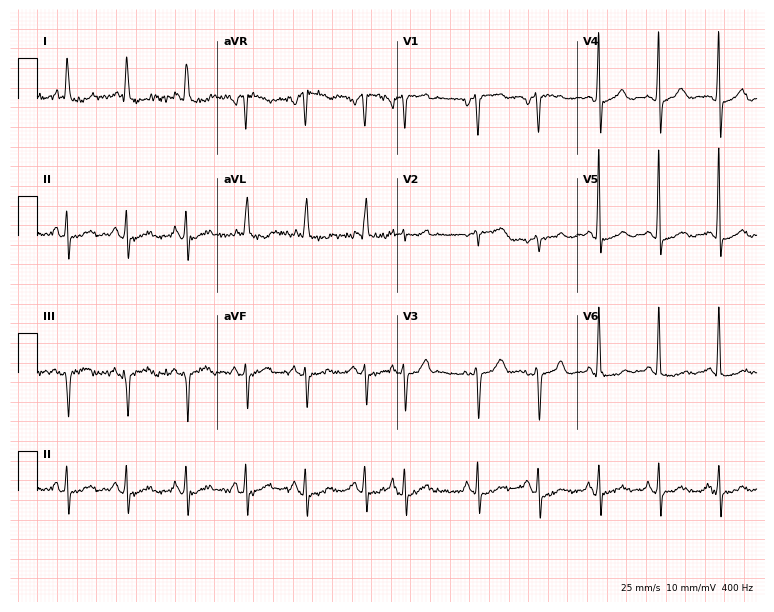
Standard 12-lead ECG recorded from a 77-year-old male. None of these six findings is recorded: first-degree AV block, right bundle branch block (RBBB), left bundle branch block (LBBB), sinus bradycardia, atrial fibrillation (AF), sinus tachycardia.